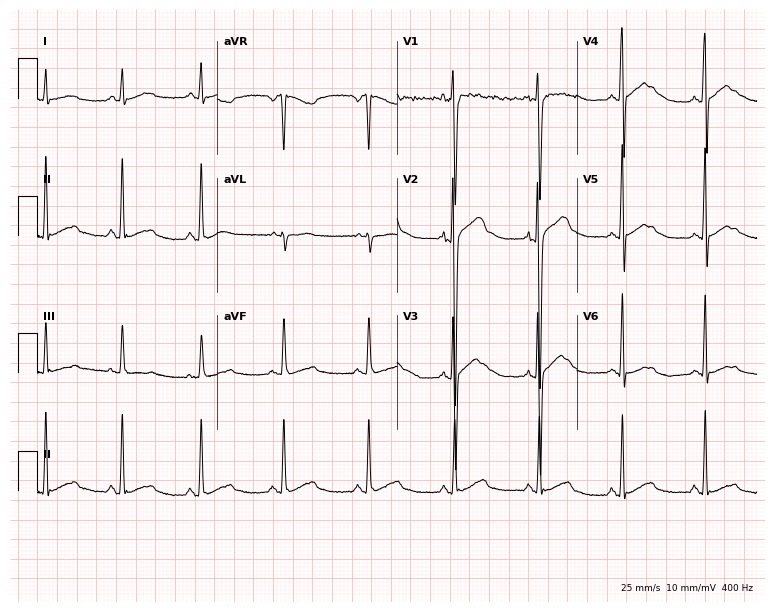
ECG — a 26-year-old man. Screened for six findings — first-degree AV block, right bundle branch block, left bundle branch block, sinus bradycardia, atrial fibrillation, sinus tachycardia — none is recorded. Findings outside these six are not listed.